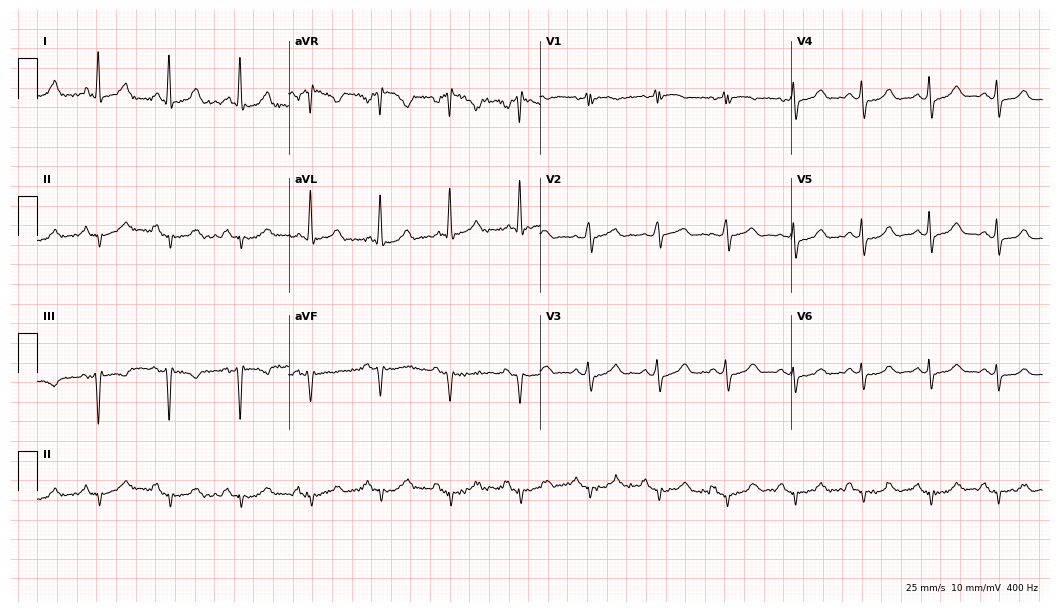
Electrocardiogram, a female patient, 78 years old. Of the six screened findings (first-degree AV block, right bundle branch block (RBBB), left bundle branch block (LBBB), sinus bradycardia, atrial fibrillation (AF), sinus tachycardia), none is recorded. Only these six findings were labelled.